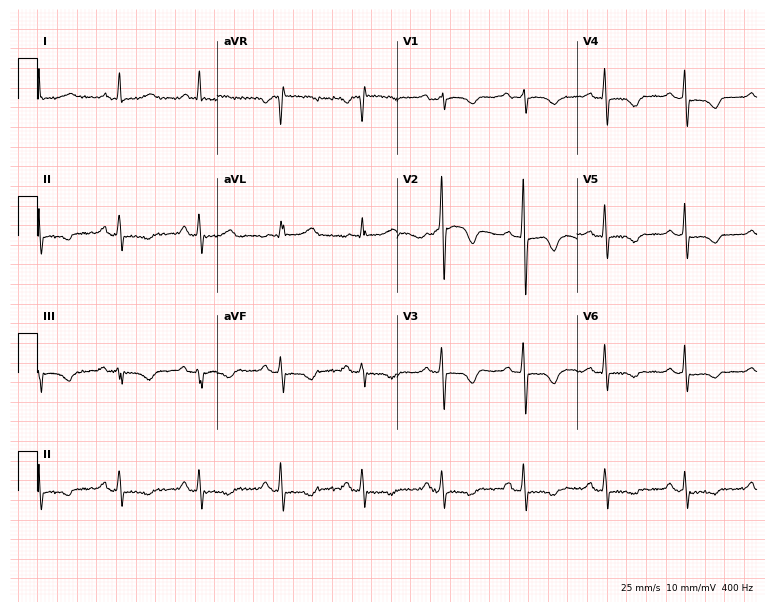
Standard 12-lead ECG recorded from a woman, 76 years old. Read as a normal ECG.